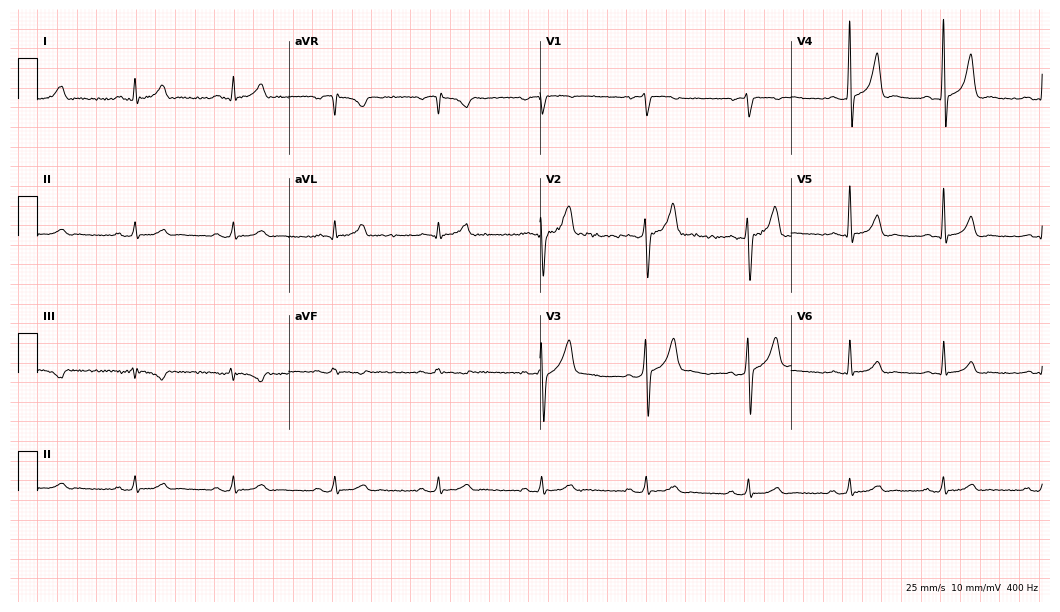
12-lead ECG from a man, 48 years old. Labelled as a normal ECG.